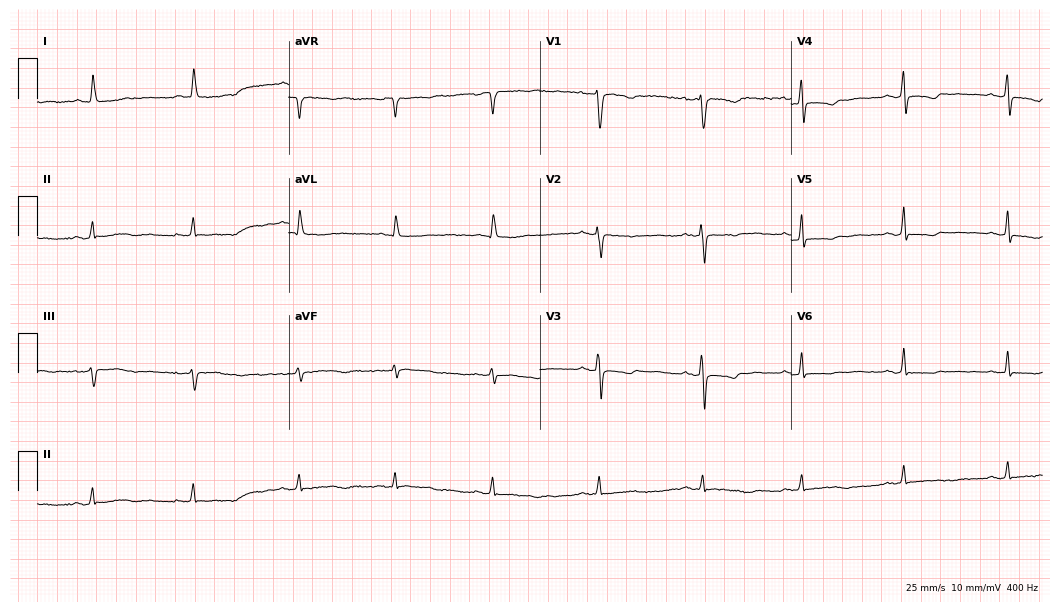
Electrocardiogram, a 66-year-old woman. Of the six screened findings (first-degree AV block, right bundle branch block (RBBB), left bundle branch block (LBBB), sinus bradycardia, atrial fibrillation (AF), sinus tachycardia), none is recorded.